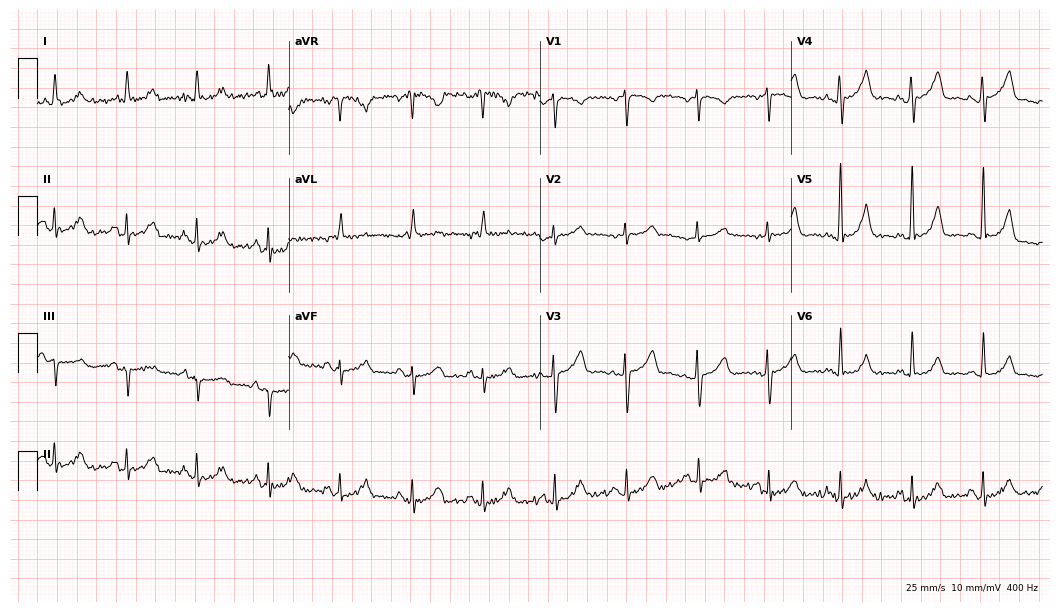
12-lead ECG from a 67-year-old female patient (10.2-second recording at 400 Hz). Recorded interpretation: within normal limits.